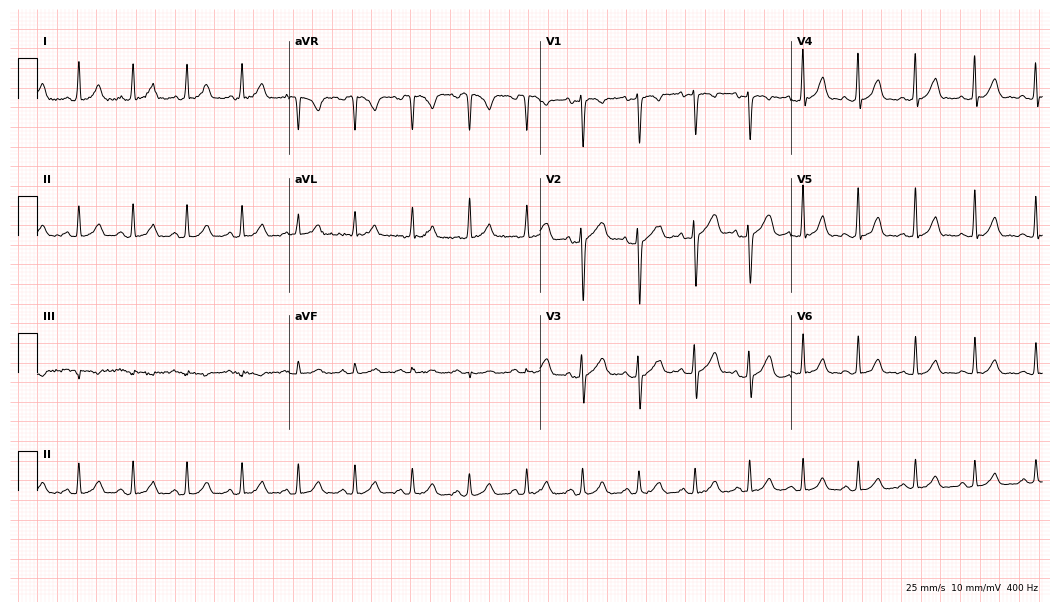
12-lead ECG from a female, 24 years old. Shows sinus tachycardia (a sinus rate of 100 beats per minute or more).